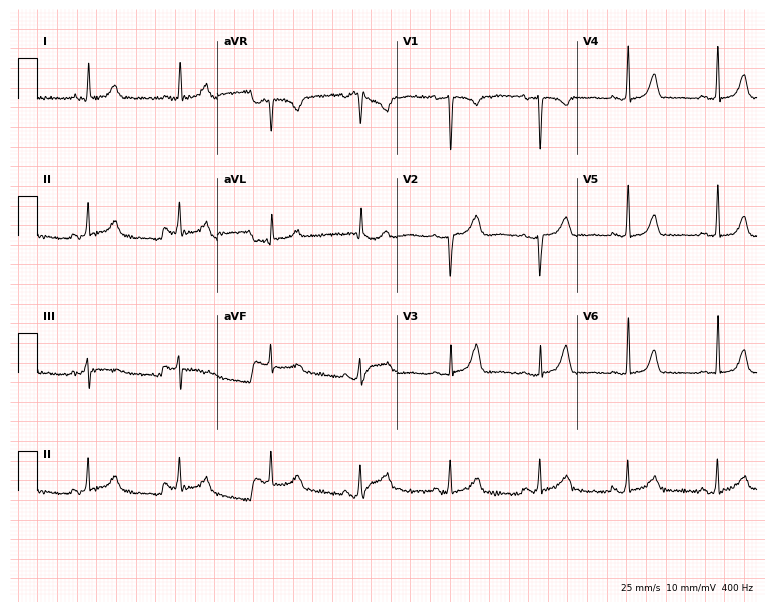
ECG — a 44-year-old female. Labelled as a normal ECG.